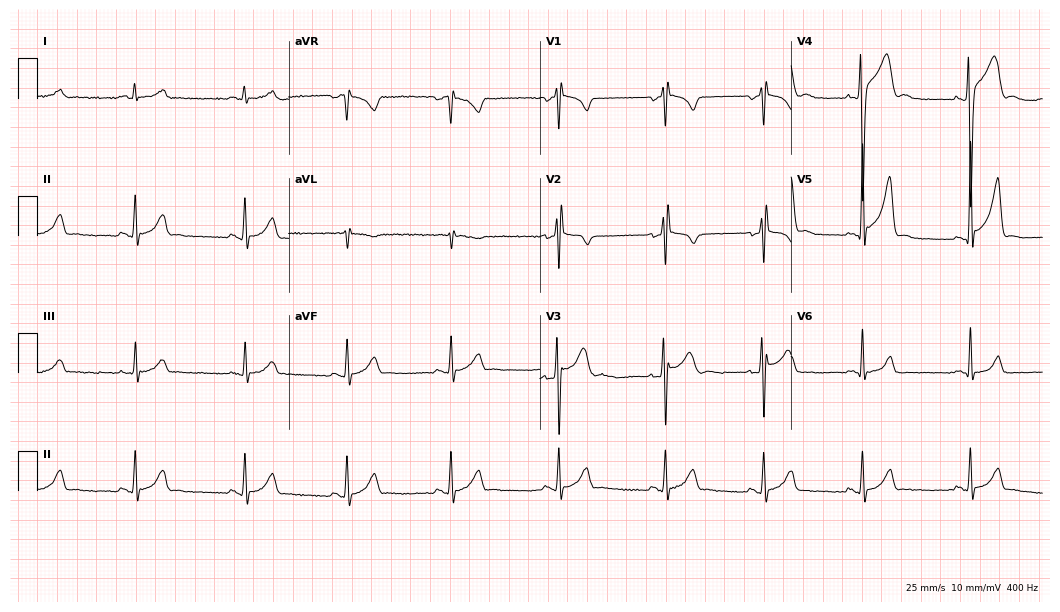
ECG — a 21-year-old man. Labelled as a normal ECG.